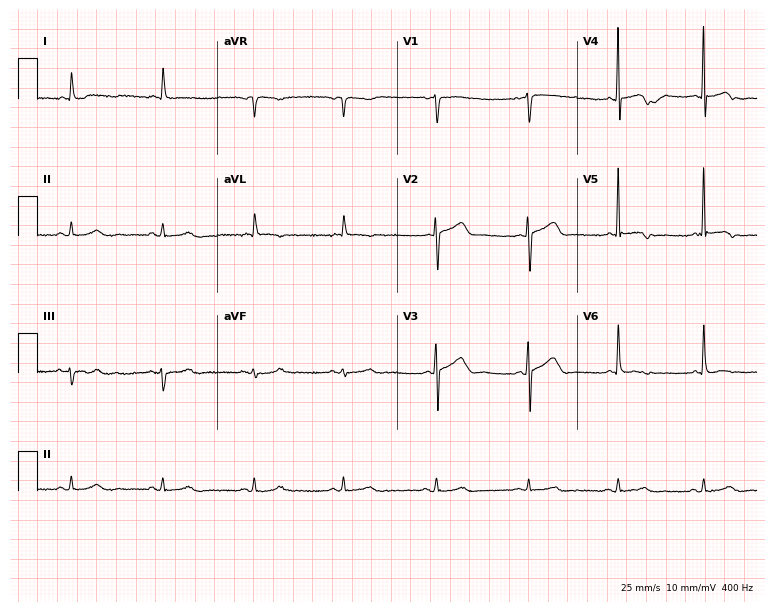
Standard 12-lead ECG recorded from a 77-year-old female (7.3-second recording at 400 Hz). None of these six findings is recorded: first-degree AV block, right bundle branch block, left bundle branch block, sinus bradycardia, atrial fibrillation, sinus tachycardia. Only these six findings were labelled.